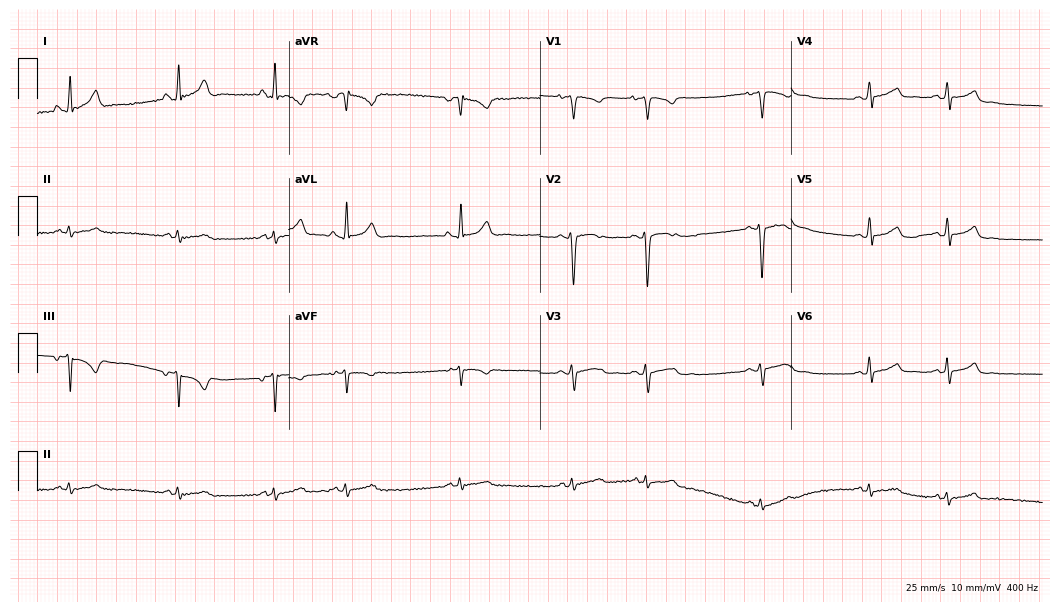
12-lead ECG (10.2-second recording at 400 Hz) from a 17-year-old woman. Labelled as a normal ECG.